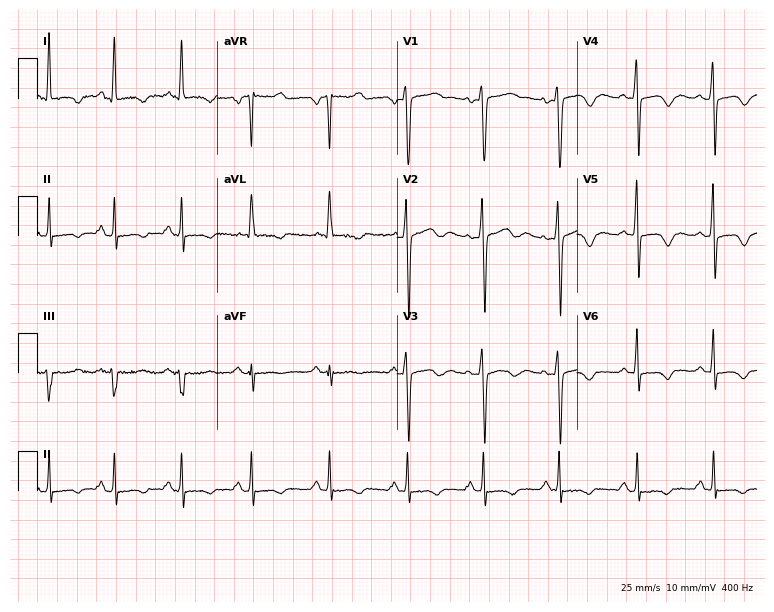
ECG (7.3-second recording at 400 Hz) — a female, 37 years old. Screened for six findings — first-degree AV block, right bundle branch block (RBBB), left bundle branch block (LBBB), sinus bradycardia, atrial fibrillation (AF), sinus tachycardia — none is recorded. Only these six findings were labelled.